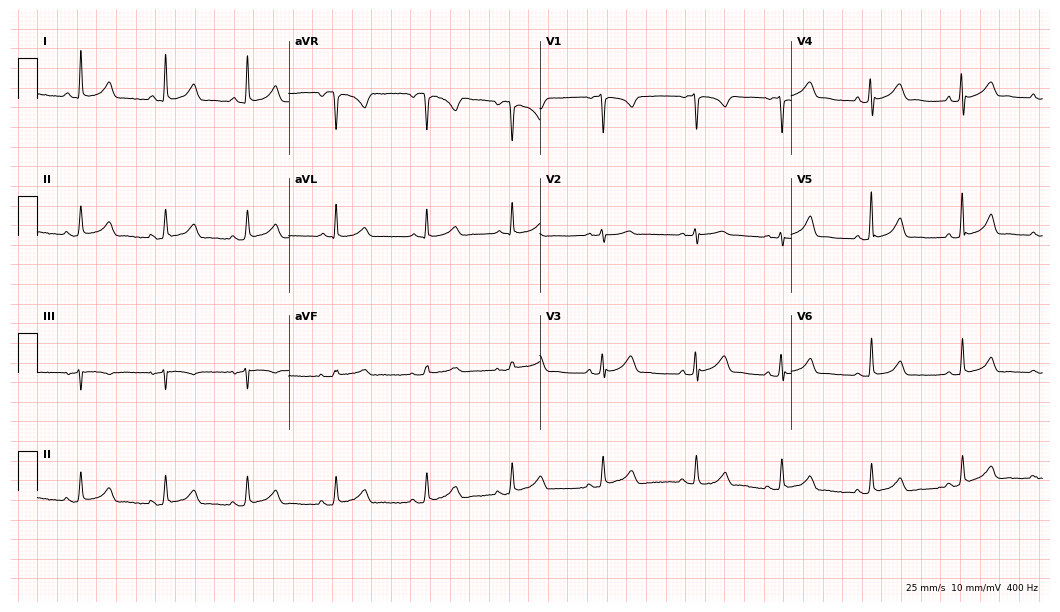
12-lead ECG from a 41-year-old female patient (10.2-second recording at 400 Hz). Recorded interpretation: within normal limits.